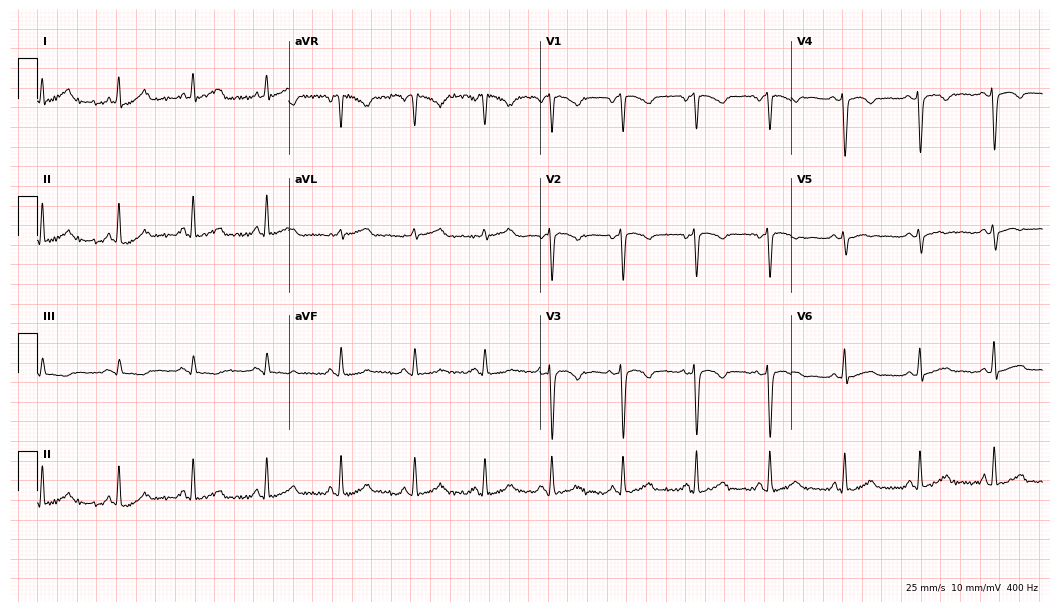
Electrocardiogram, a 32-year-old female patient. Of the six screened findings (first-degree AV block, right bundle branch block, left bundle branch block, sinus bradycardia, atrial fibrillation, sinus tachycardia), none is recorded. Other findings, if any, are not listed.